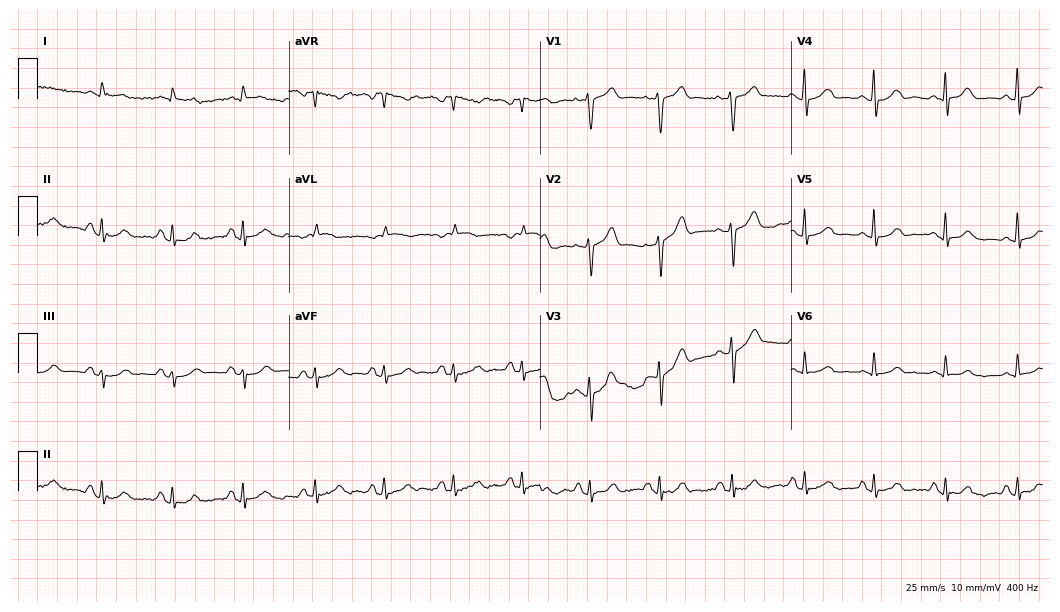
Electrocardiogram (10.2-second recording at 400 Hz), a 71-year-old male patient. Of the six screened findings (first-degree AV block, right bundle branch block, left bundle branch block, sinus bradycardia, atrial fibrillation, sinus tachycardia), none is recorded.